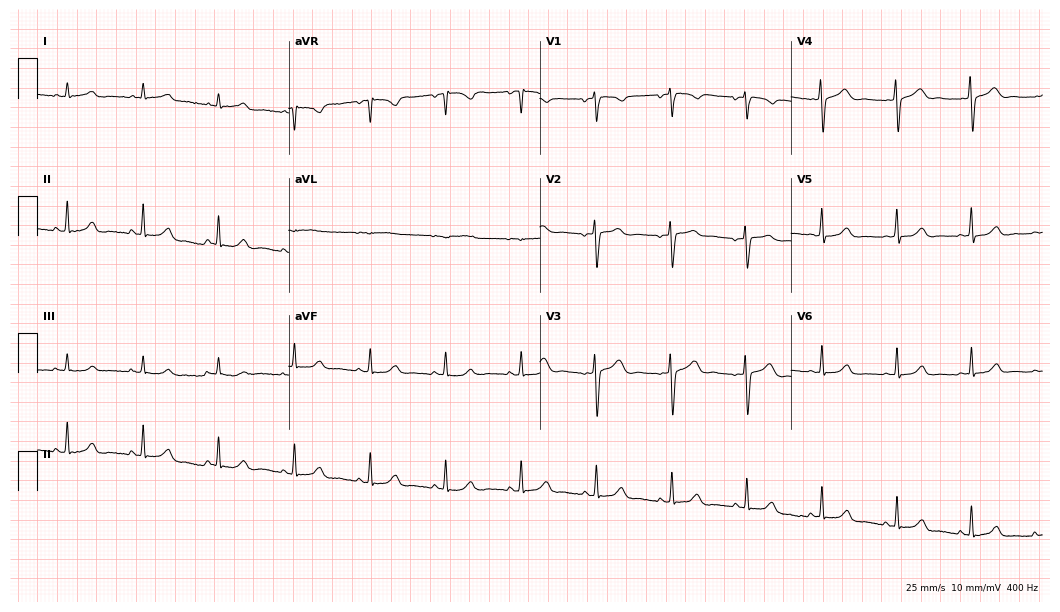
Standard 12-lead ECG recorded from a 24-year-old woman (10.2-second recording at 400 Hz). Read as a normal ECG.